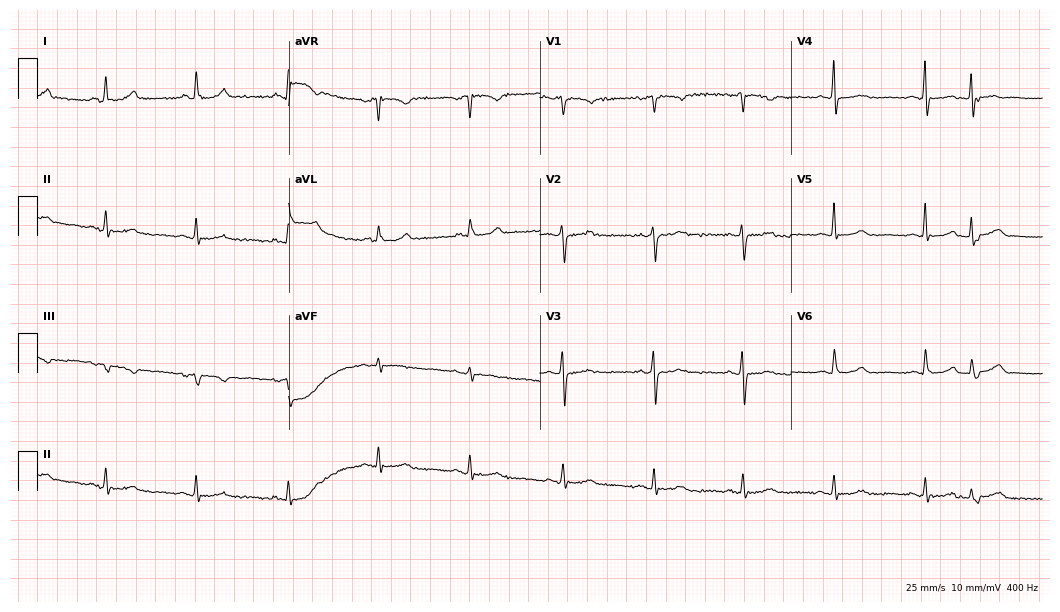
12-lead ECG from a woman, 62 years old. Recorded interpretation: within normal limits.